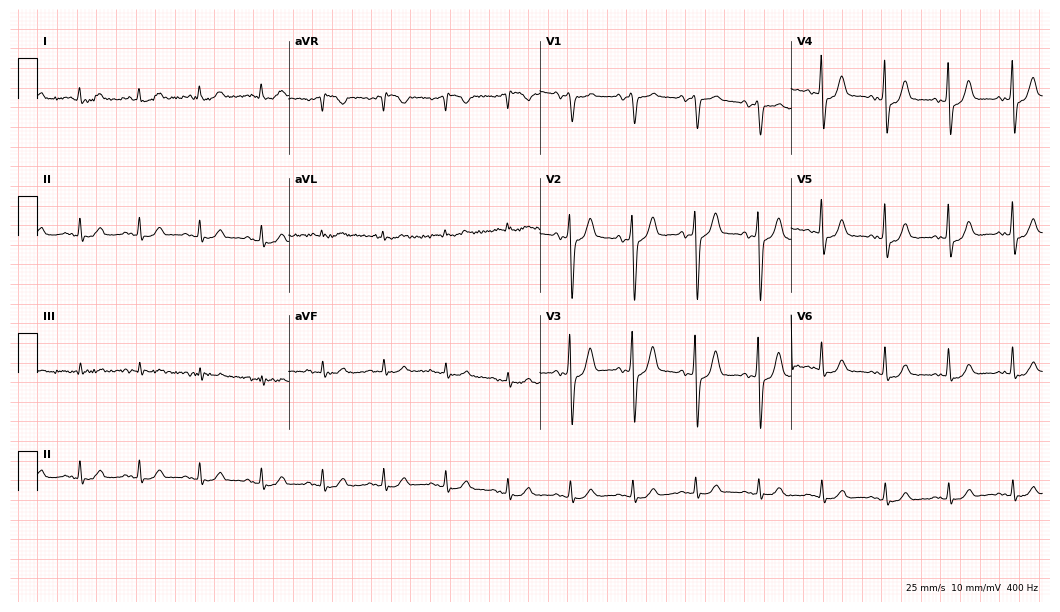
12-lead ECG (10.2-second recording at 400 Hz) from a 61-year-old male patient. Labelled as a normal ECG.